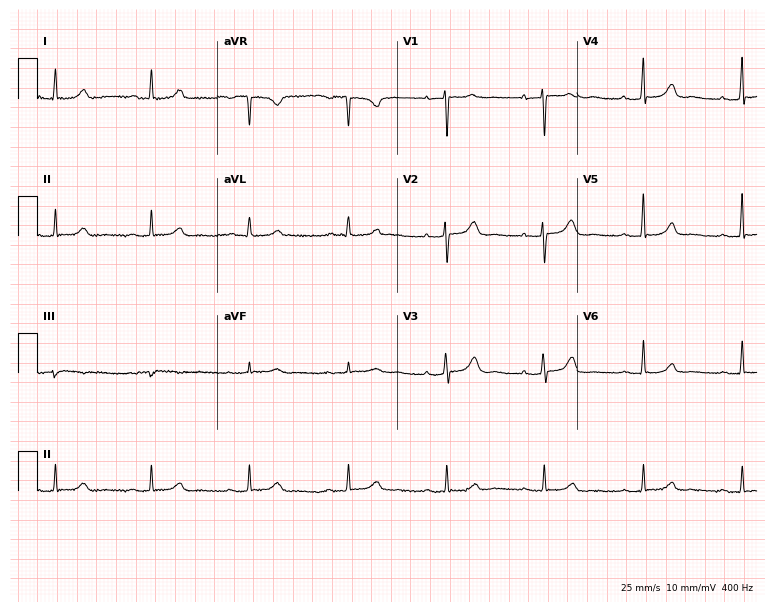
12-lead ECG from a 50-year-old woman (7.3-second recording at 400 Hz). Shows first-degree AV block.